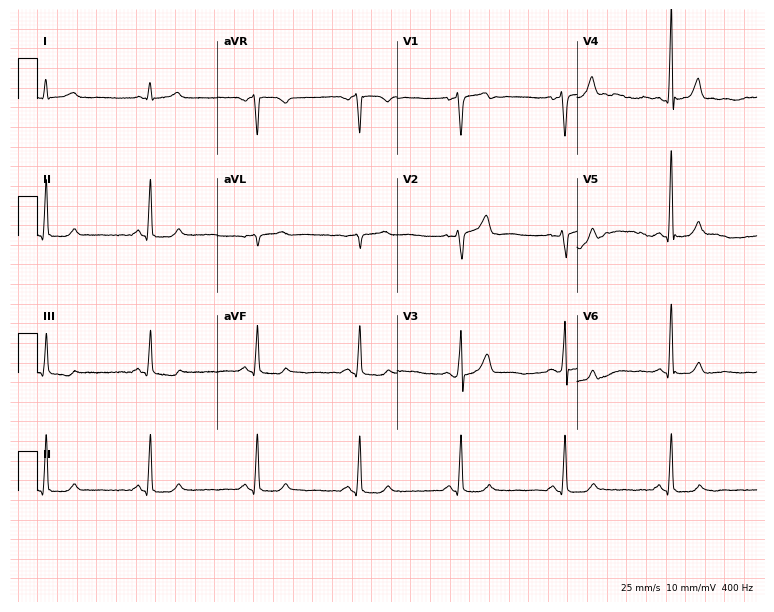
Electrocardiogram (7.3-second recording at 400 Hz), a 63-year-old male. Of the six screened findings (first-degree AV block, right bundle branch block (RBBB), left bundle branch block (LBBB), sinus bradycardia, atrial fibrillation (AF), sinus tachycardia), none is recorded.